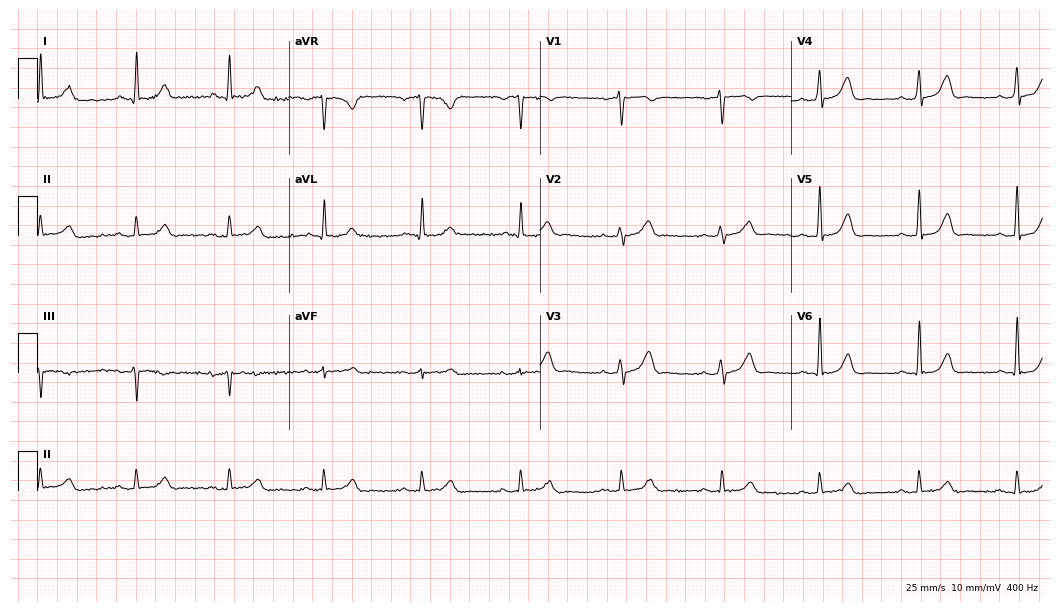
Standard 12-lead ECG recorded from a man, 59 years old. Read as a normal ECG.